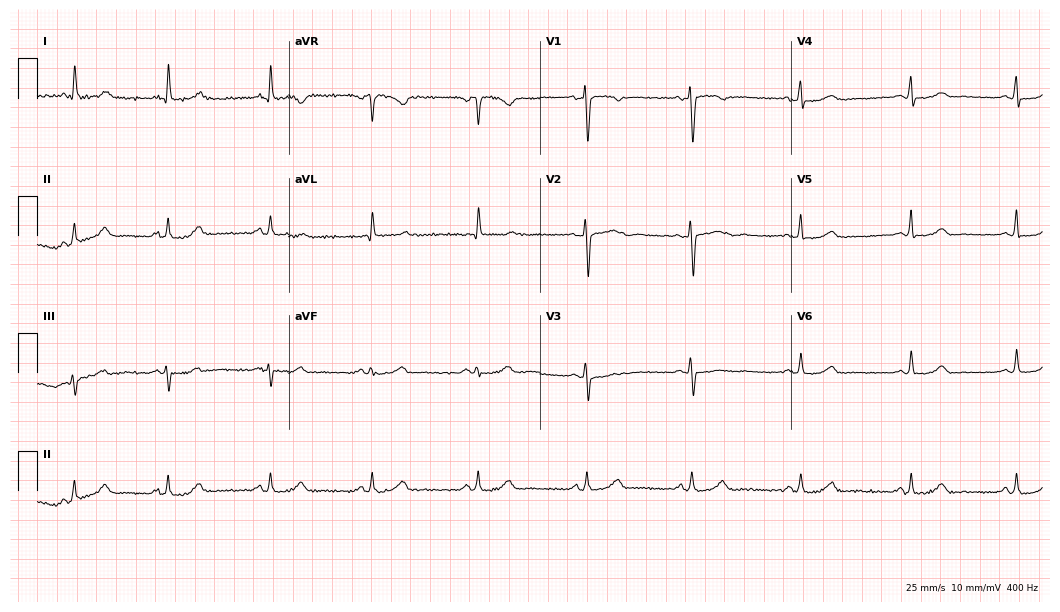
12-lead ECG from a female, 53 years old. Recorded interpretation: within normal limits.